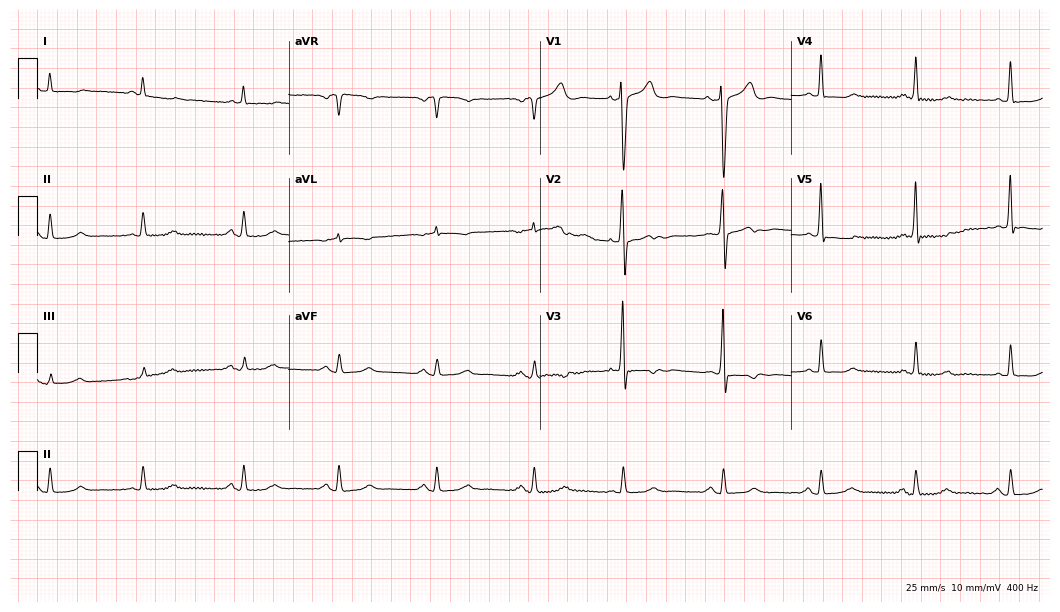
Standard 12-lead ECG recorded from a man, 84 years old. None of these six findings is recorded: first-degree AV block, right bundle branch block (RBBB), left bundle branch block (LBBB), sinus bradycardia, atrial fibrillation (AF), sinus tachycardia. Only these six findings were labelled.